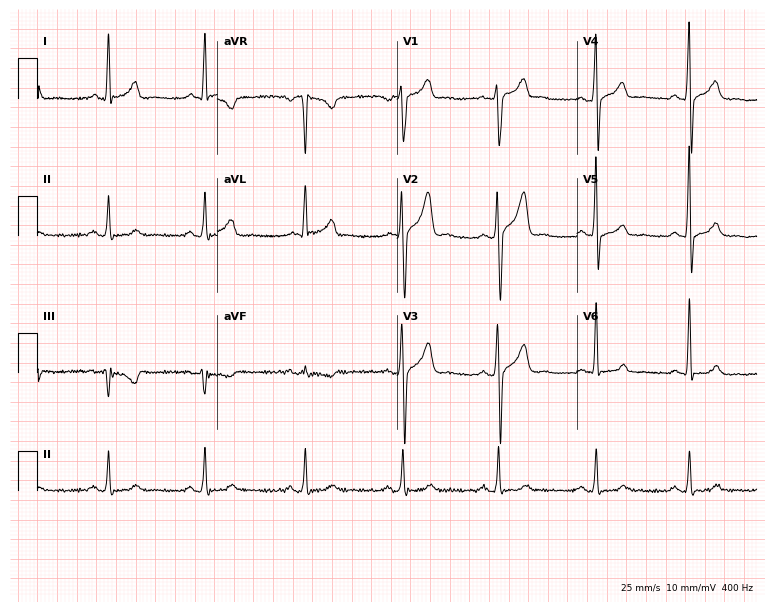
Electrocardiogram (7.3-second recording at 400 Hz), a 31-year-old male patient. Of the six screened findings (first-degree AV block, right bundle branch block (RBBB), left bundle branch block (LBBB), sinus bradycardia, atrial fibrillation (AF), sinus tachycardia), none is recorded. Findings outside these six are not listed.